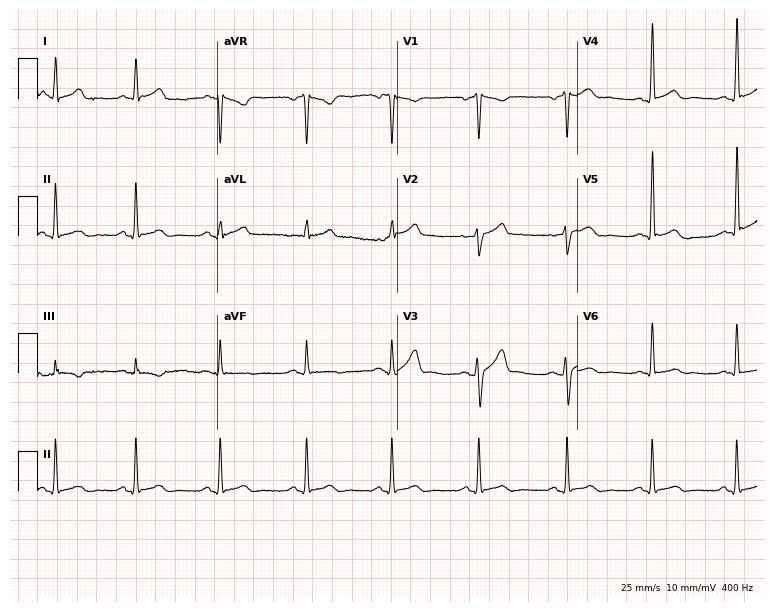
Standard 12-lead ECG recorded from a 44-year-old male. Read as a normal ECG.